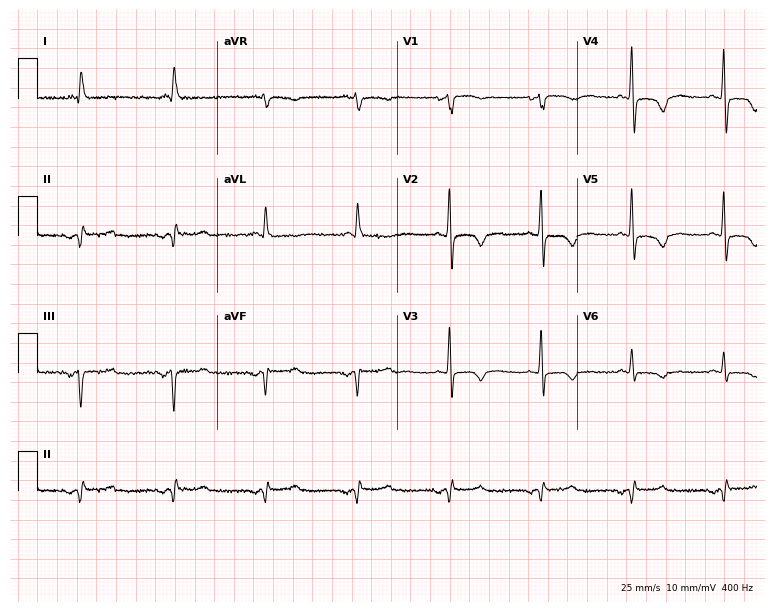
Standard 12-lead ECG recorded from a 63-year-old female (7.3-second recording at 400 Hz). None of these six findings is recorded: first-degree AV block, right bundle branch block, left bundle branch block, sinus bradycardia, atrial fibrillation, sinus tachycardia.